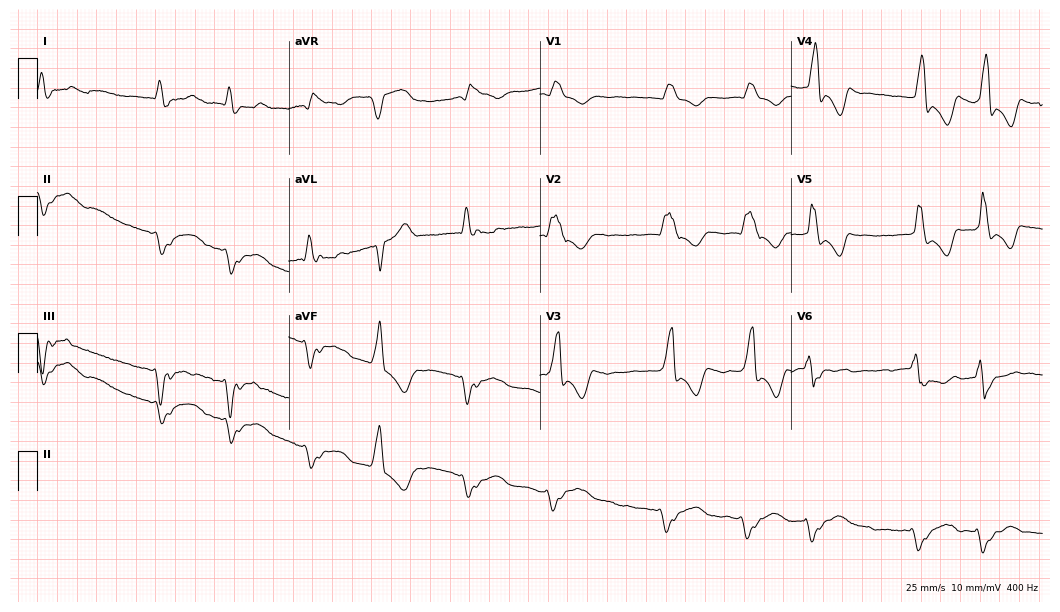
Resting 12-lead electrocardiogram (10.2-second recording at 400 Hz). Patient: a 79-year-old male. The tracing shows left bundle branch block, atrial fibrillation.